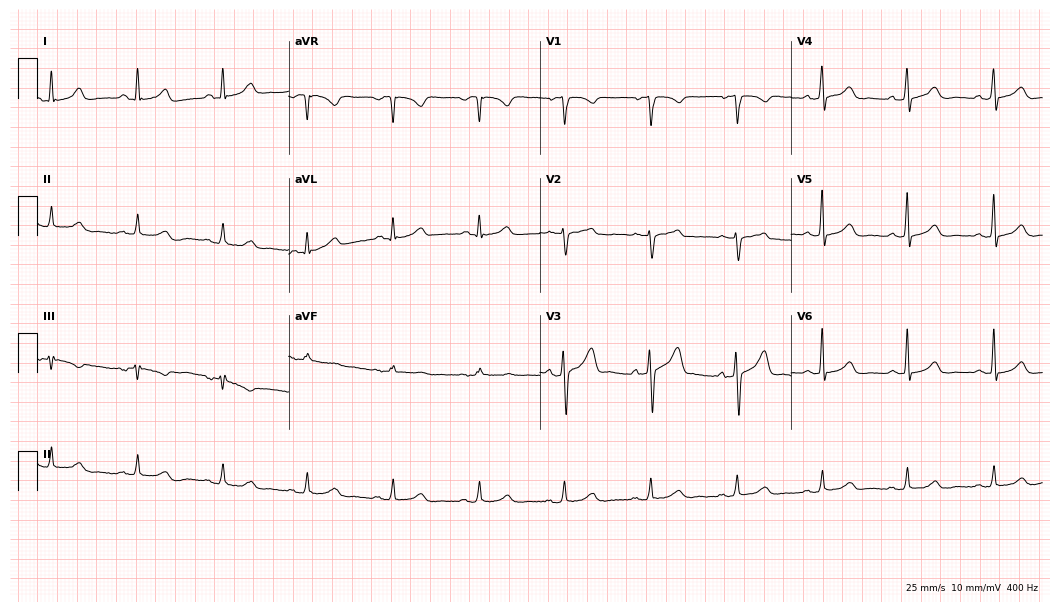
Electrocardiogram (10.2-second recording at 400 Hz), a man, 55 years old. Overall reading on record: normal ECG.